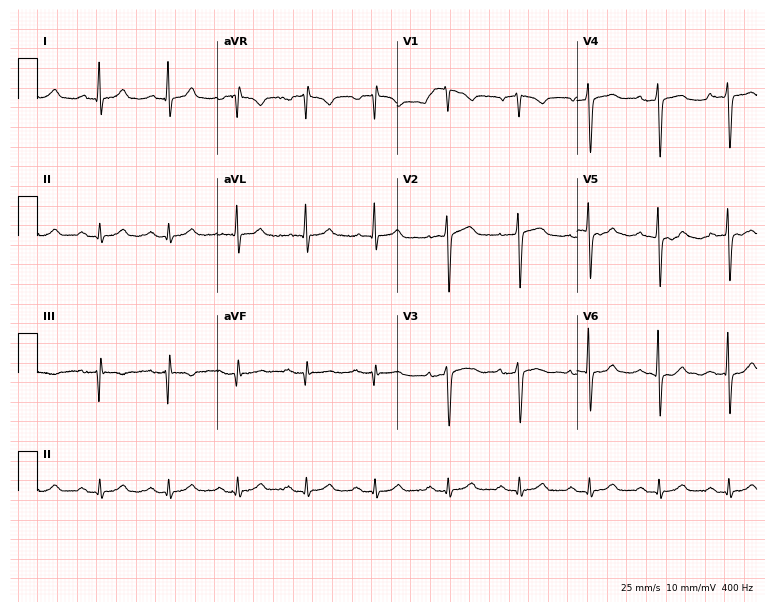
12-lead ECG (7.3-second recording at 400 Hz) from a 57-year-old male. Labelled as a normal ECG.